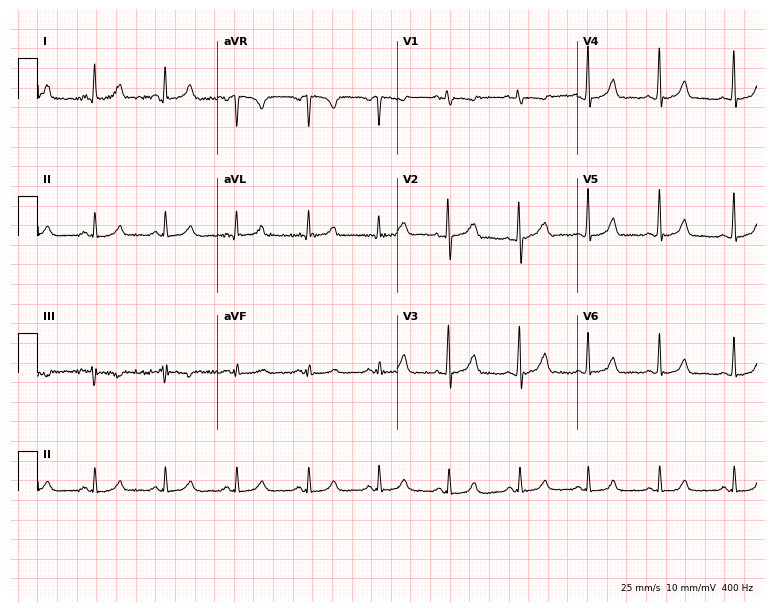
Resting 12-lead electrocardiogram. Patient: a 36-year-old female. Read as a normal ECG.